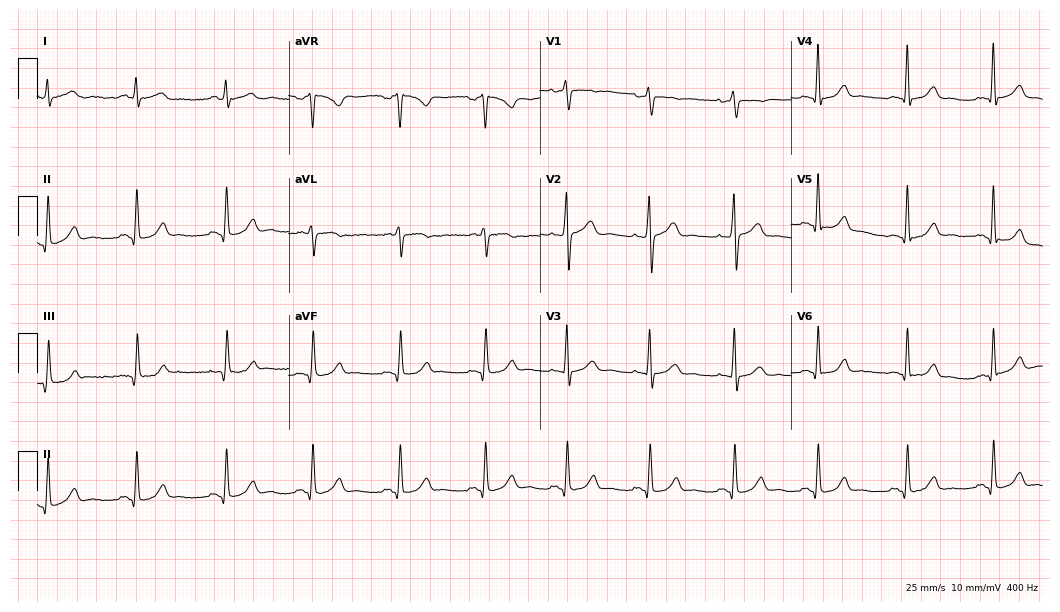
12-lead ECG (10.2-second recording at 400 Hz) from a 26-year-old male patient. Labelled as a normal ECG.